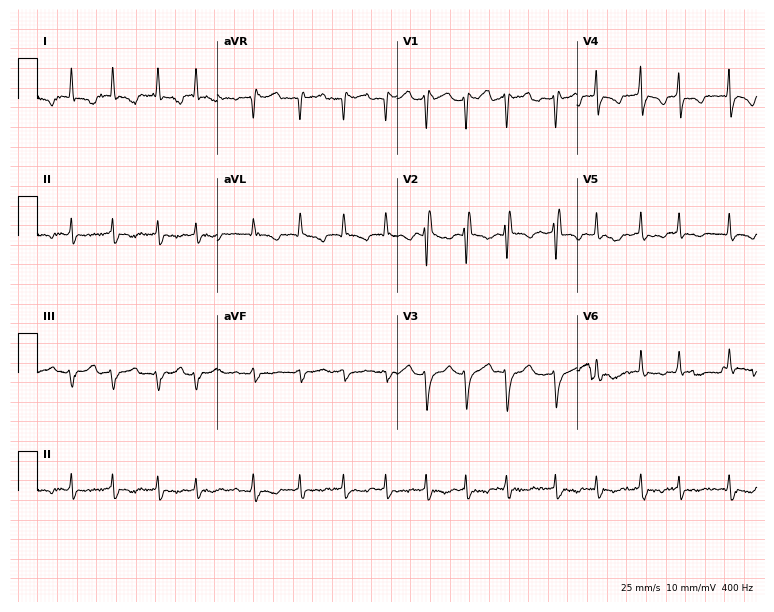
Electrocardiogram (7.3-second recording at 400 Hz), a woman, 67 years old. Interpretation includes atrial fibrillation.